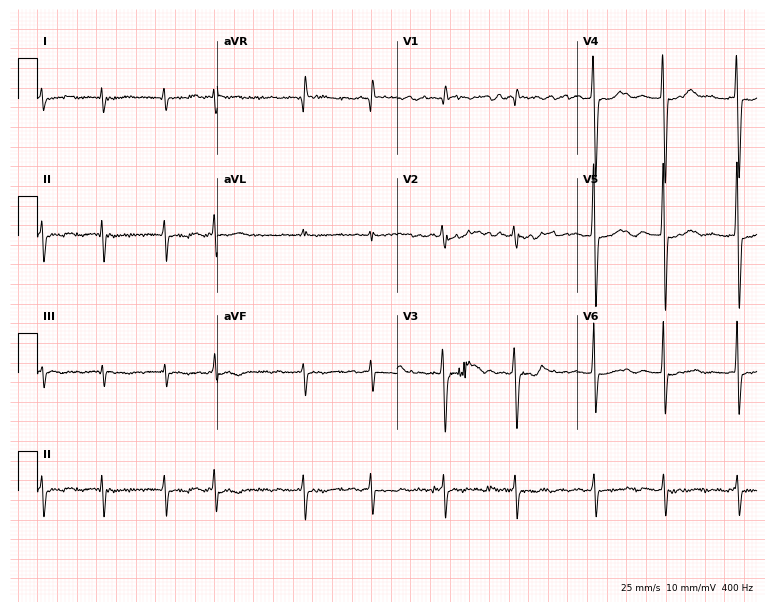
Standard 12-lead ECG recorded from a man, 68 years old (7.3-second recording at 400 Hz). The tracing shows atrial fibrillation.